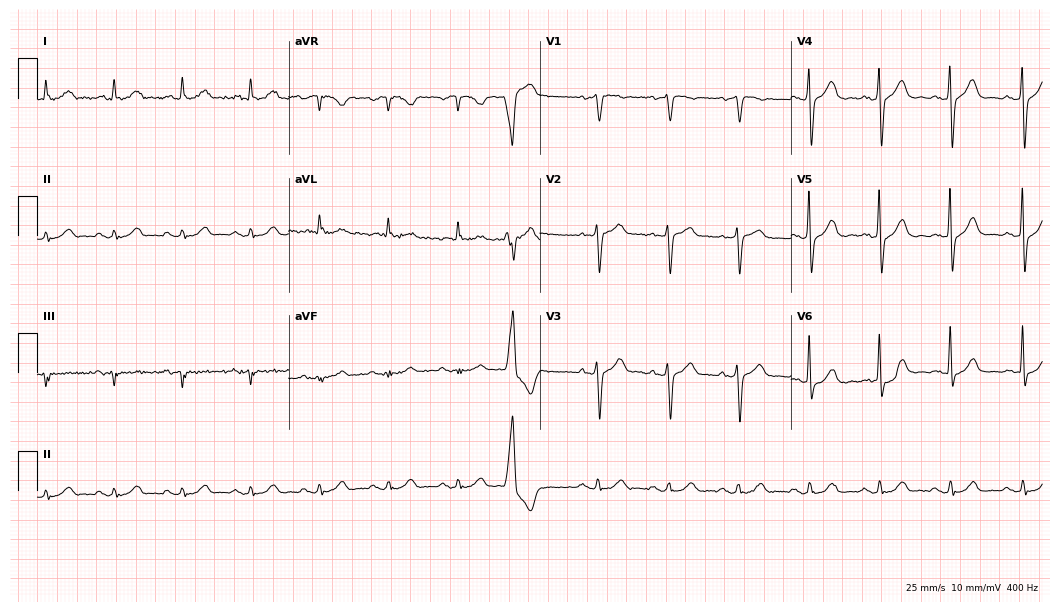
ECG (10.2-second recording at 400 Hz) — a 78-year-old male. Screened for six findings — first-degree AV block, right bundle branch block, left bundle branch block, sinus bradycardia, atrial fibrillation, sinus tachycardia — none is recorded. Only these six findings were labelled.